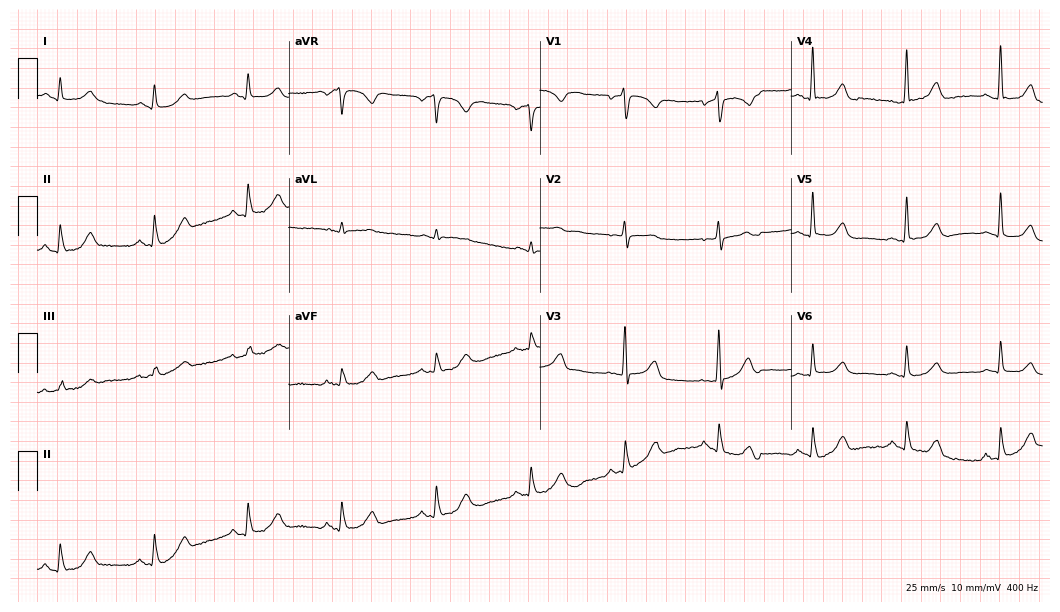
Standard 12-lead ECG recorded from an 85-year-old female. Read as a normal ECG.